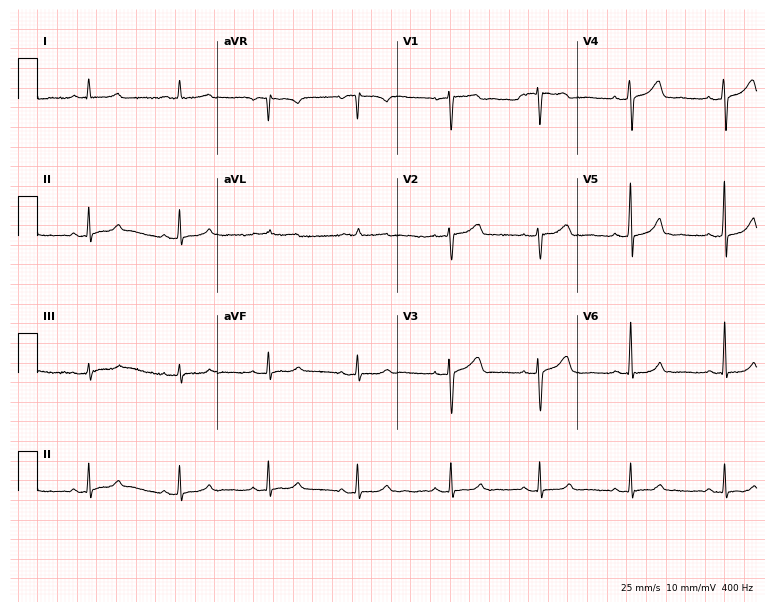
12-lead ECG from a 50-year-old woman. Screened for six findings — first-degree AV block, right bundle branch block (RBBB), left bundle branch block (LBBB), sinus bradycardia, atrial fibrillation (AF), sinus tachycardia — none is recorded.